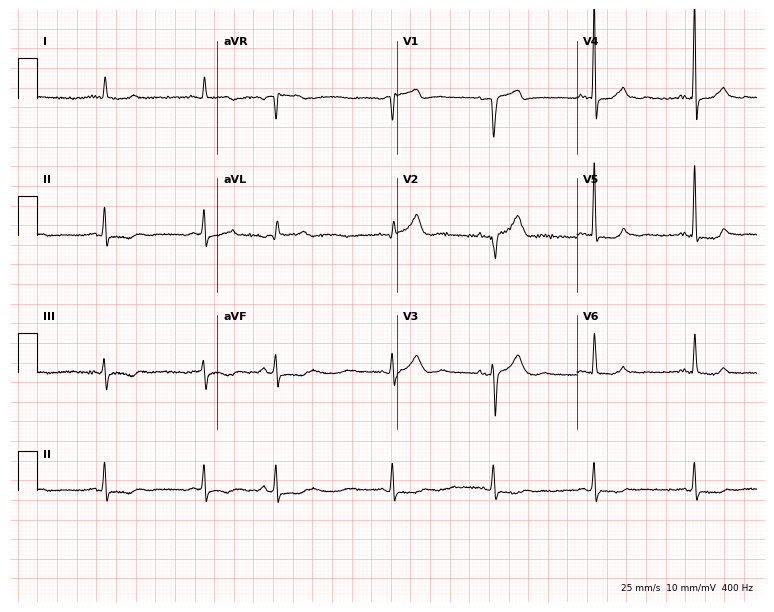
Electrocardiogram, a 74-year-old male. Of the six screened findings (first-degree AV block, right bundle branch block, left bundle branch block, sinus bradycardia, atrial fibrillation, sinus tachycardia), none is recorded.